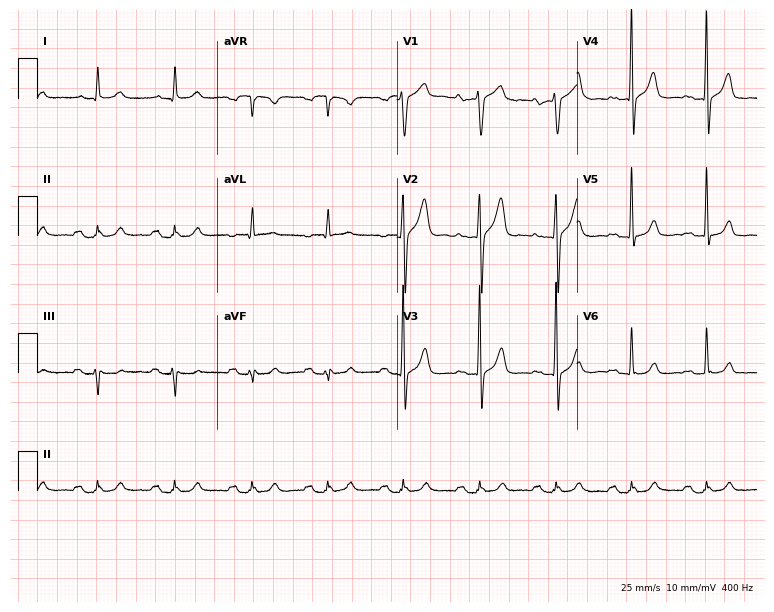
ECG (7.3-second recording at 400 Hz) — a male patient, 58 years old. Screened for six findings — first-degree AV block, right bundle branch block, left bundle branch block, sinus bradycardia, atrial fibrillation, sinus tachycardia — none is recorded. Other findings, if any, are not listed.